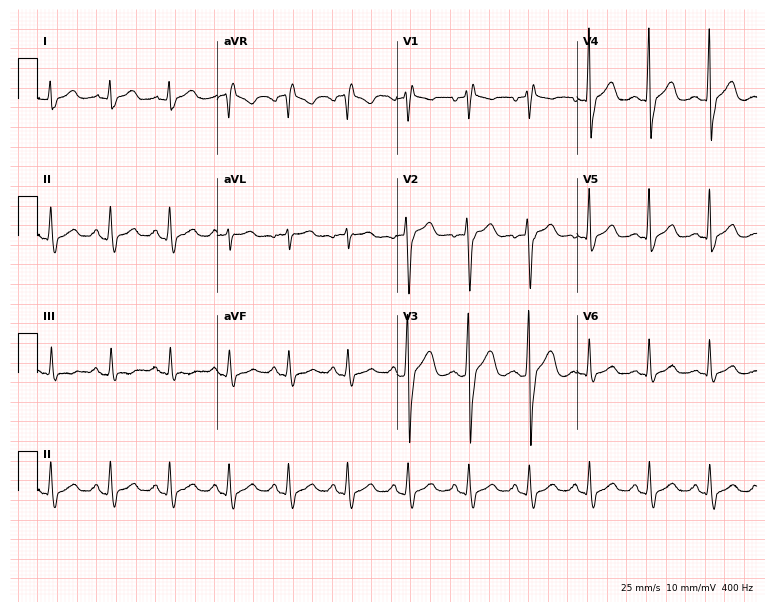
Resting 12-lead electrocardiogram (7.3-second recording at 400 Hz). Patient: a 43-year-old male. None of these six findings is recorded: first-degree AV block, right bundle branch block, left bundle branch block, sinus bradycardia, atrial fibrillation, sinus tachycardia. Only these six findings were labelled.